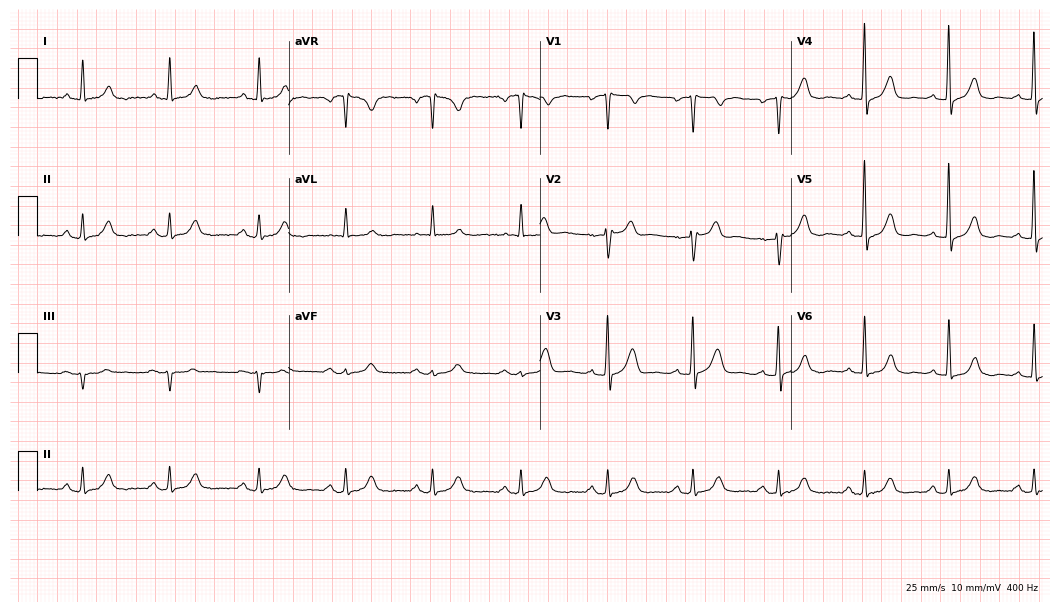
12-lead ECG from a male patient, 71 years old. Screened for six findings — first-degree AV block, right bundle branch block, left bundle branch block, sinus bradycardia, atrial fibrillation, sinus tachycardia — none is recorded.